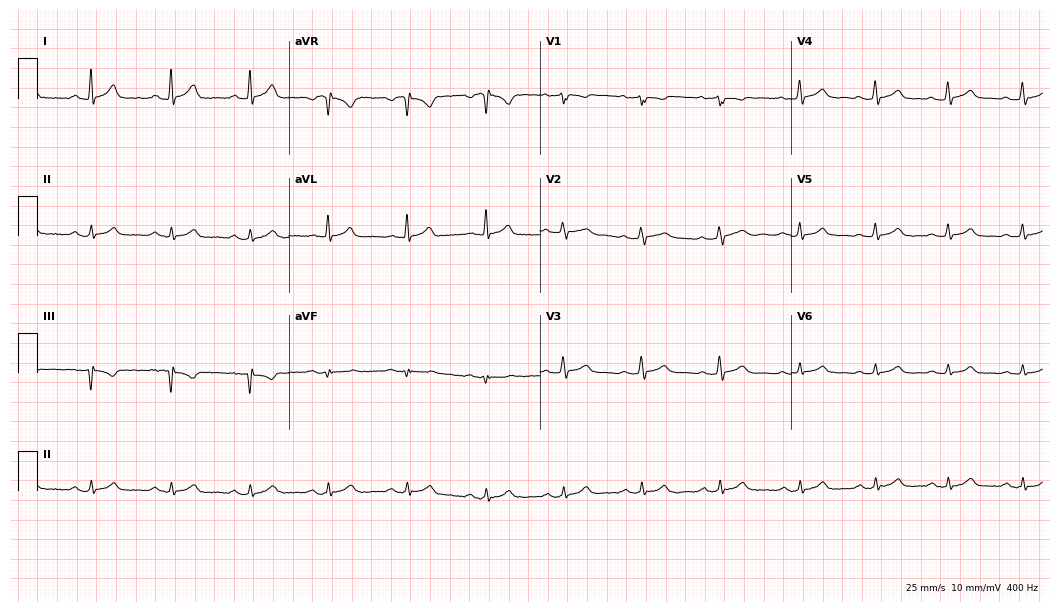
Resting 12-lead electrocardiogram (10.2-second recording at 400 Hz). Patient: a male, 46 years old. Read as a normal ECG.